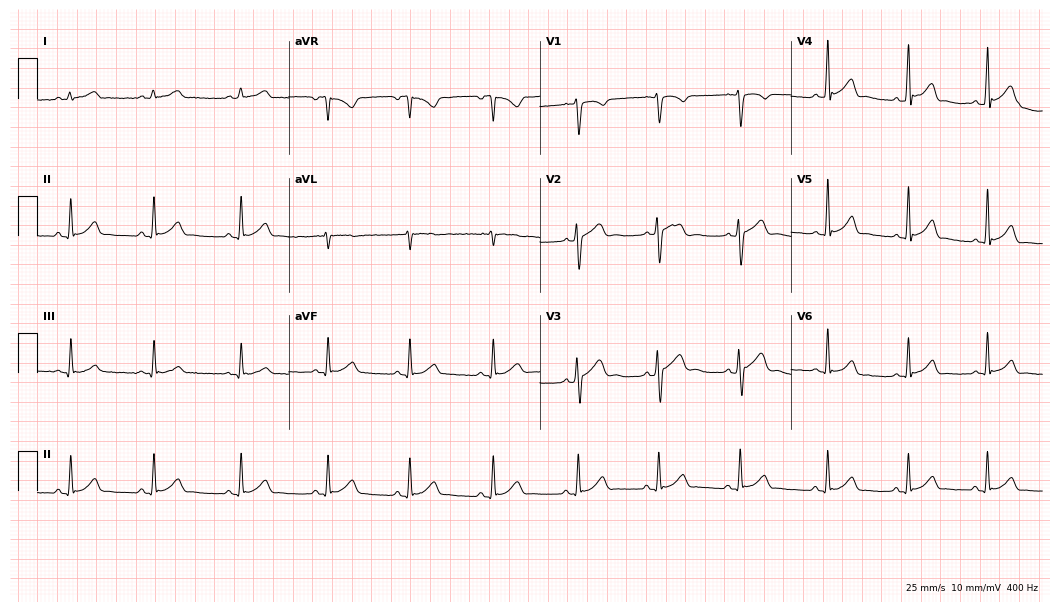
ECG (10.2-second recording at 400 Hz) — a 26-year-old man. Screened for six findings — first-degree AV block, right bundle branch block, left bundle branch block, sinus bradycardia, atrial fibrillation, sinus tachycardia — none is recorded. Other findings, if any, are not listed.